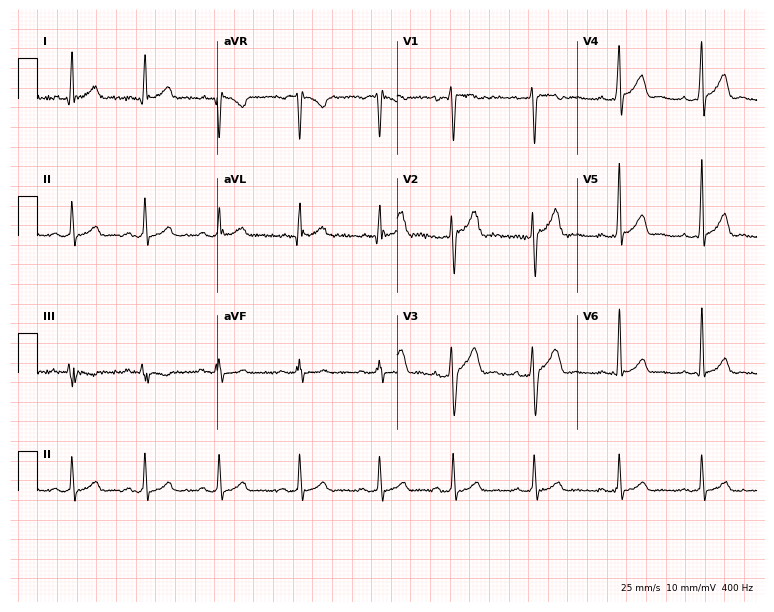
Resting 12-lead electrocardiogram. Patient: a male, 23 years old. None of these six findings is recorded: first-degree AV block, right bundle branch block, left bundle branch block, sinus bradycardia, atrial fibrillation, sinus tachycardia. Only these six findings were labelled.